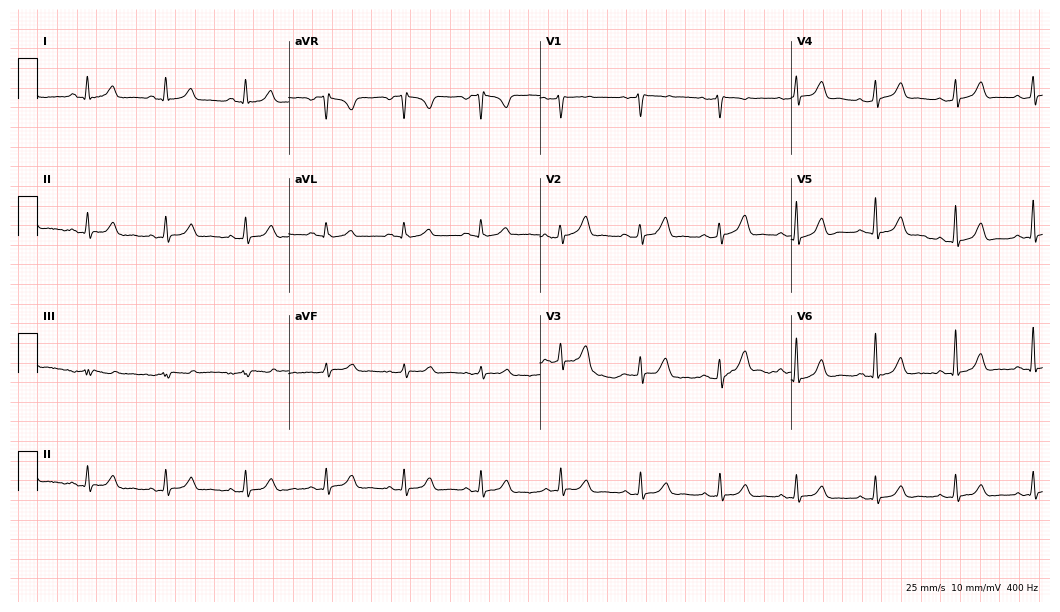
Resting 12-lead electrocardiogram (10.2-second recording at 400 Hz). Patient: a female, 41 years old. Read as a normal ECG.